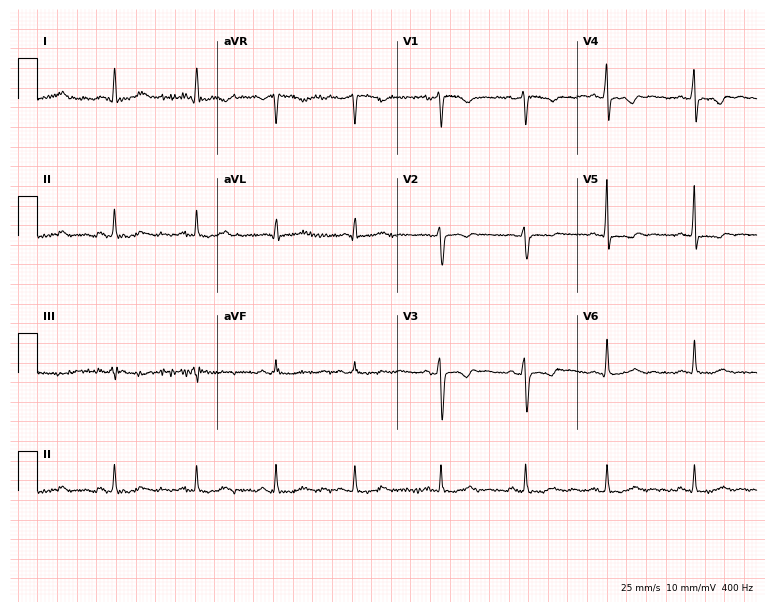
Standard 12-lead ECG recorded from a female patient, 36 years old (7.3-second recording at 400 Hz). None of these six findings is recorded: first-degree AV block, right bundle branch block, left bundle branch block, sinus bradycardia, atrial fibrillation, sinus tachycardia.